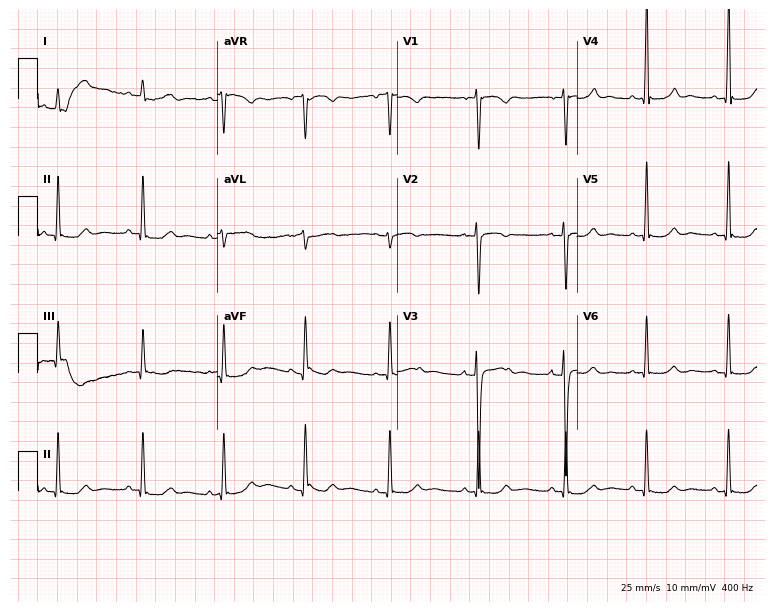
Standard 12-lead ECG recorded from a woman, 22 years old (7.3-second recording at 400 Hz). None of these six findings is recorded: first-degree AV block, right bundle branch block (RBBB), left bundle branch block (LBBB), sinus bradycardia, atrial fibrillation (AF), sinus tachycardia.